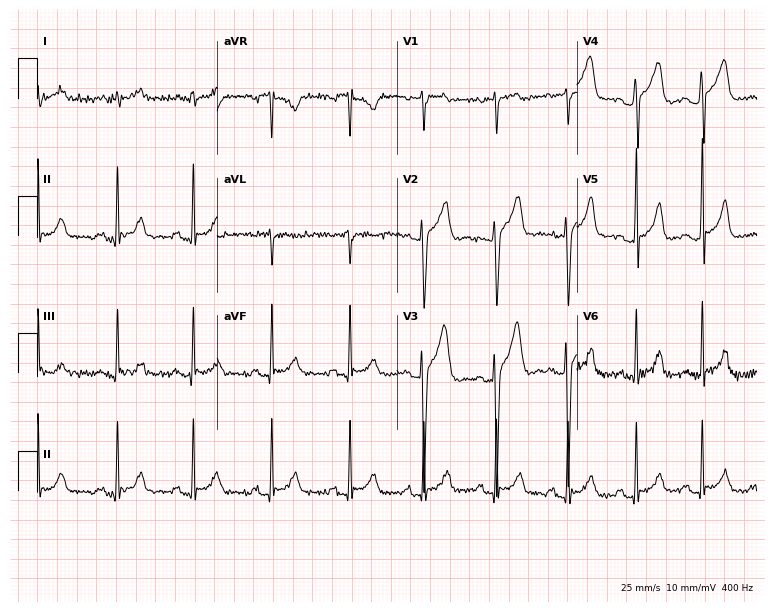
12-lead ECG from a 26-year-old male. Recorded interpretation: within normal limits.